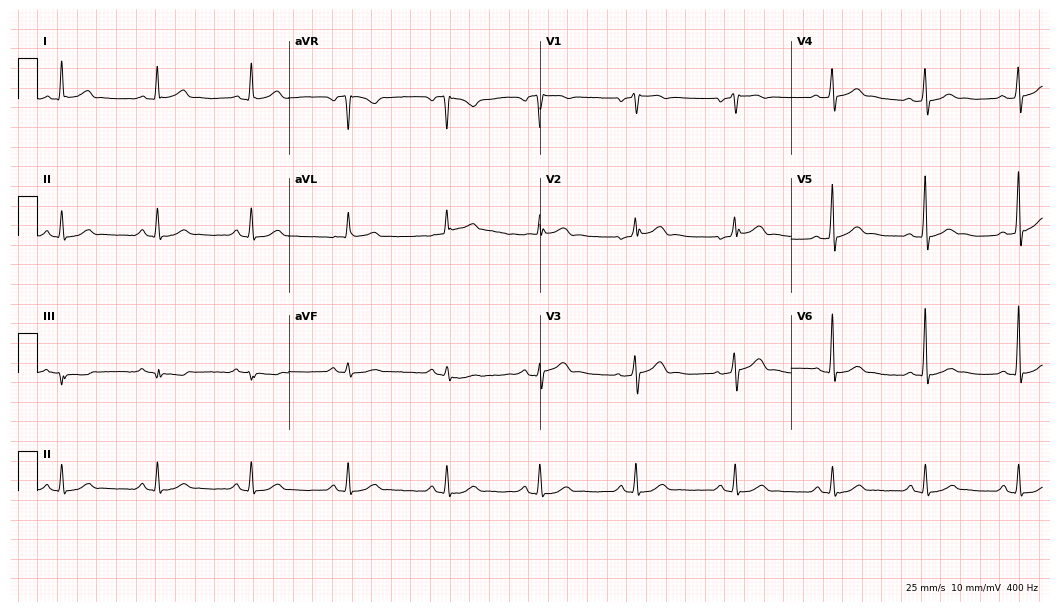
ECG (10.2-second recording at 400 Hz) — a male, 54 years old. Labelled as a normal ECG.